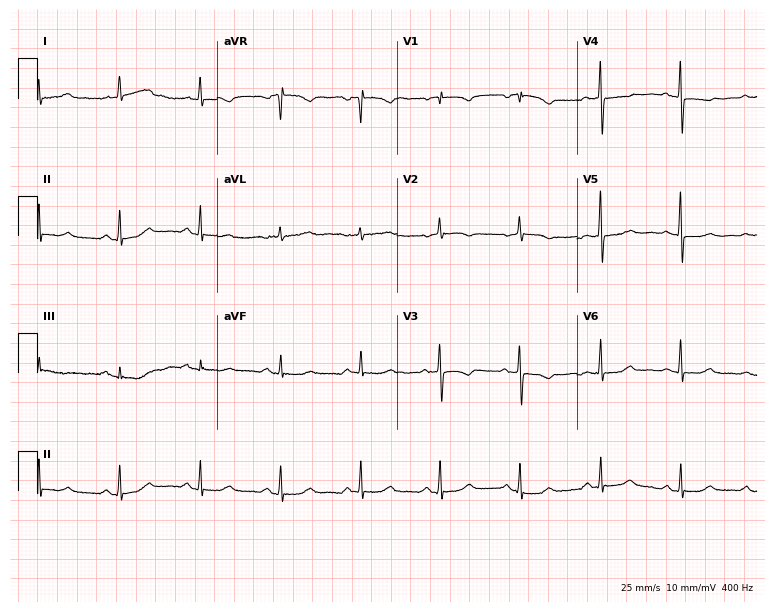
12-lead ECG (7.3-second recording at 400 Hz) from a 74-year-old female patient. Screened for six findings — first-degree AV block, right bundle branch block (RBBB), left bundle branch block (LBBB), sinus bradycardia, atrial fibrillation (AF), sinus tachycardia — none is recorded. Findings outside these six are not listed.